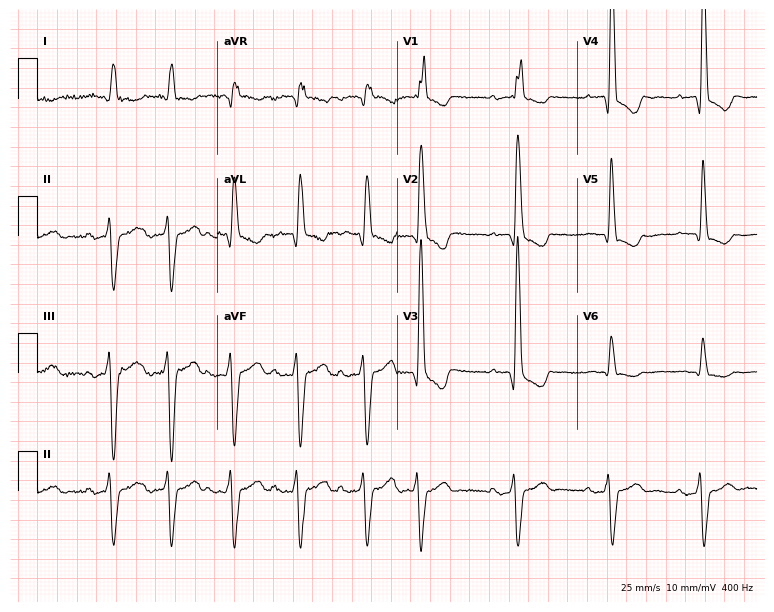
12-lead ECG from a male, 83 years old. Shows first-degree AV block, right bundle branch block (RBBB).